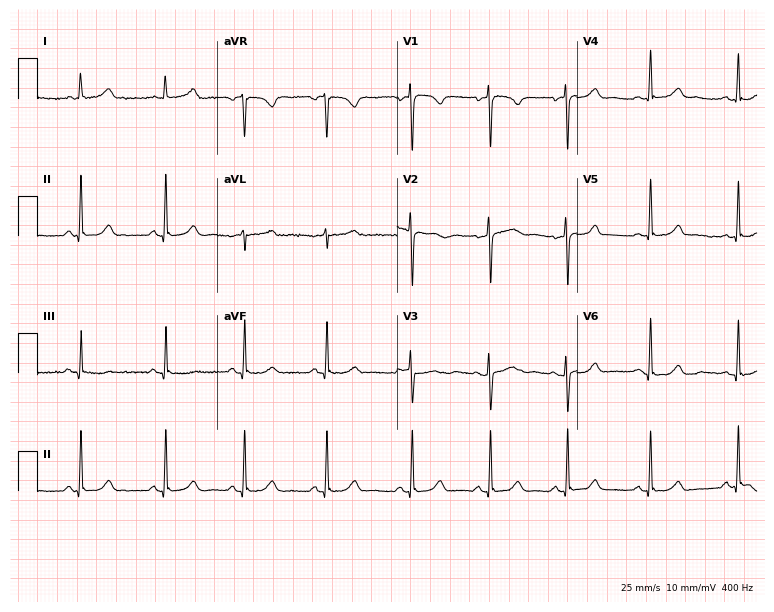
ECG — a 30-year-old woman. Labelled as a normal ECG.